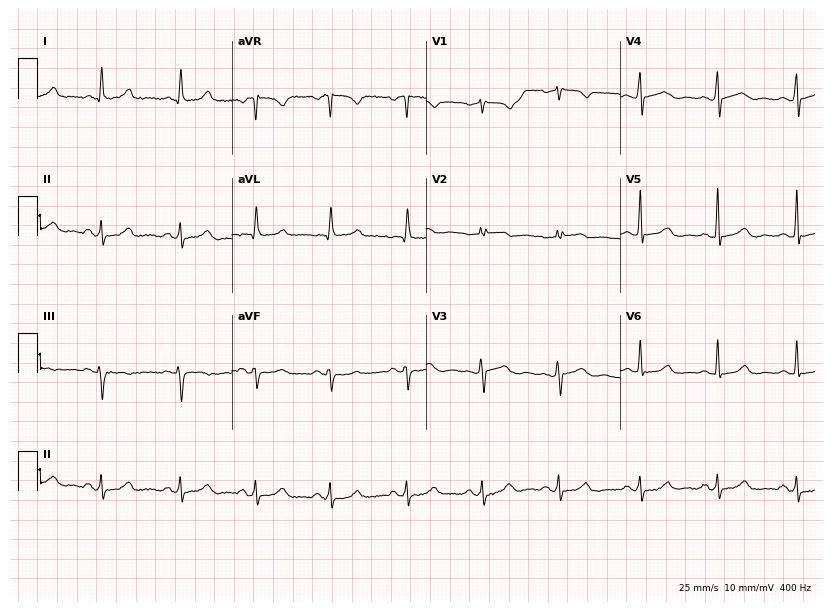
Resting 12-lead electrocardiogram. Patient: a woman, 63 years old. Read as a normal ECG.